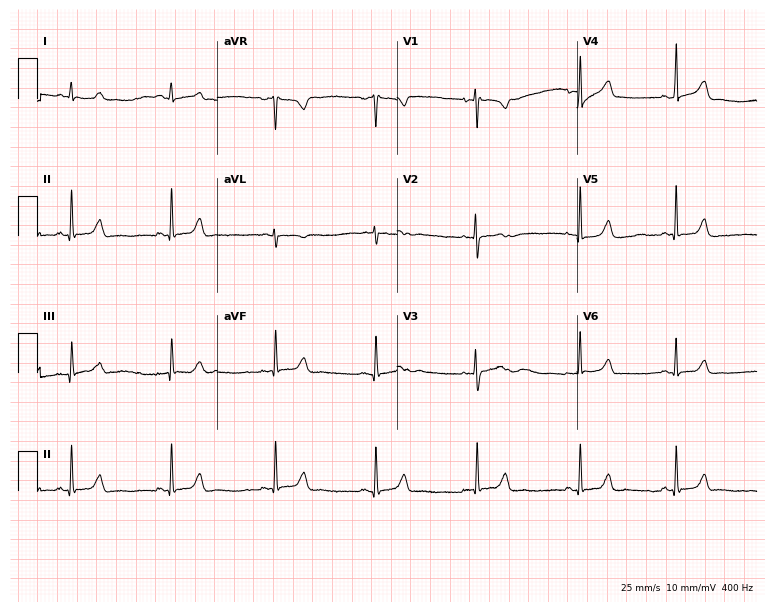
12-lead ECG (7.3-second recording at 400 Hz) from a female patient, 18 years old. Labelled as a normal ECG.